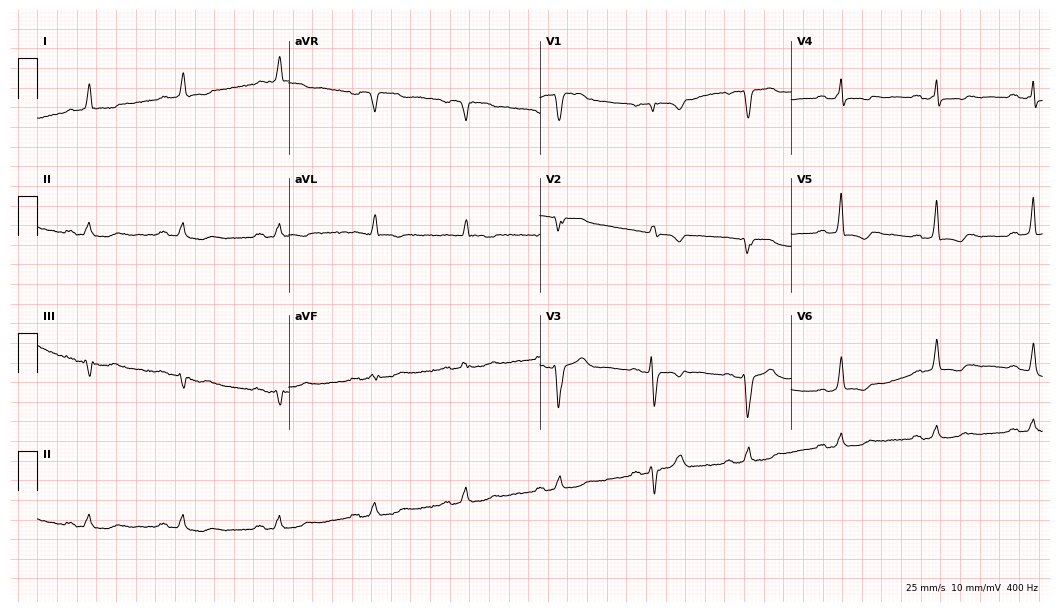
12-lead ECG from a woman, 84 years old. Screened for six findings — first-degree AV block, right bundle branch block, left bundle branch block, sinus bradycardia, atrial fibrillation, sinus tachycardia — none is recorded. Findings outside these six are not listed.